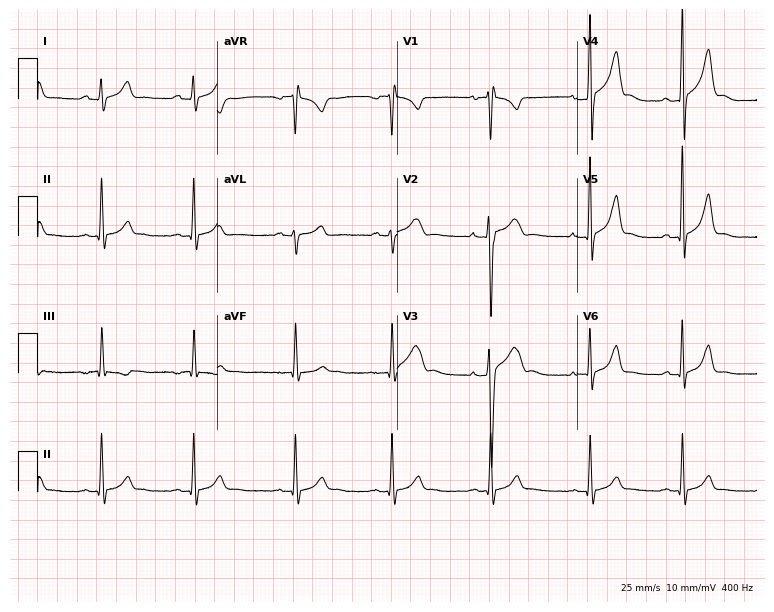
12-lead ECG (7.3-second recording at 400 Hz) from an 18-year-old male patient. Labelled as a normal ECG.